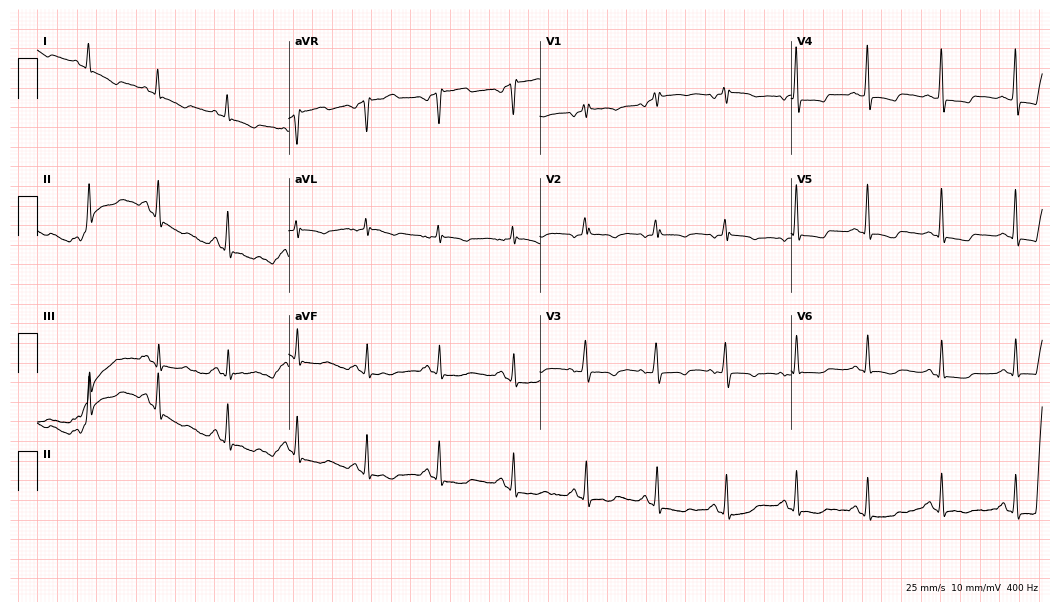
ECG — a female, 62 years old. Screened for six findings — first-degree AV block, right bundle branch block, left bundle branch block, sinus bradycardia, atrial fibrillation, sinus tachycardia — none is recorded. Only these six findings were labelled.